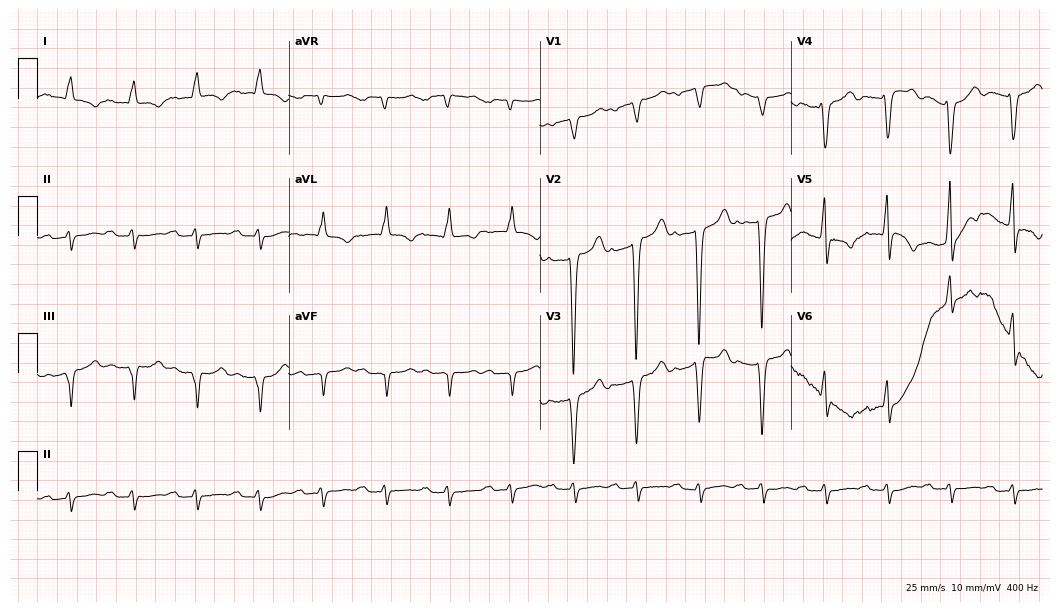
Standard 12-lead ECG recorded from a male patient, 79 years old (10.2-second recording at 400 Hz). The tracing shows first-degree AV block.